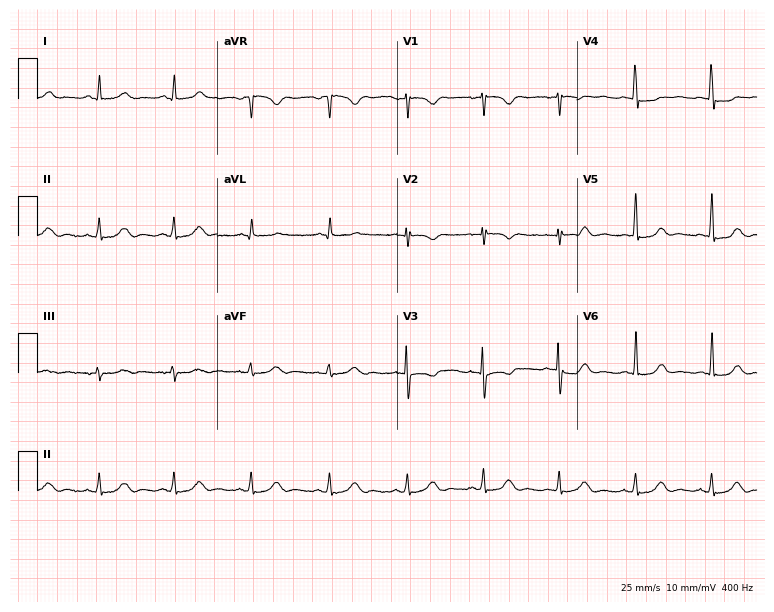
12-lead ECG from a female, 35 years old (7.3-second recording at 400 Hz). No first-degree AV block, right bundle branch block, left bundle branch block, sinus bradycardia, atrial fibrillation or sinus tachycardia recorded for this tracing. Only these six findings were labelled.